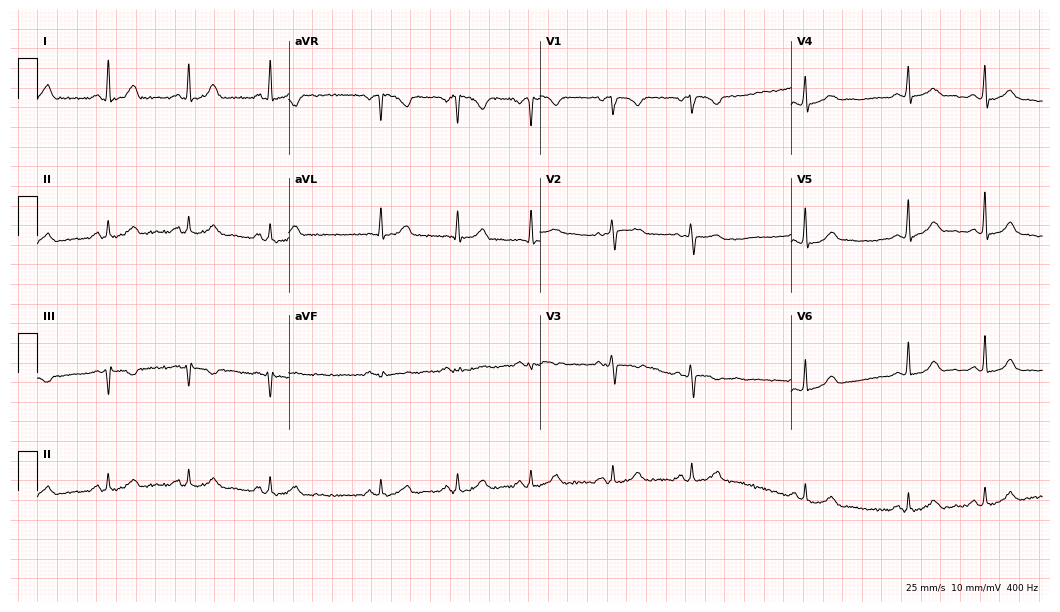
Resting 12-lead electrocardiogram. Patient: a woman, 26 years old. Read as a normal ECG.